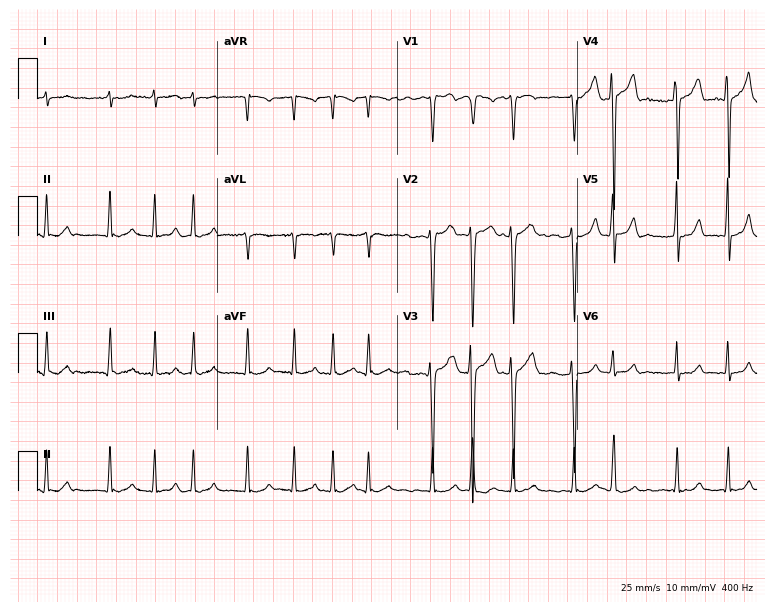
Electrocardiogram, a 63-year-old man. Interpretation includes atrial fibrillation (AF).